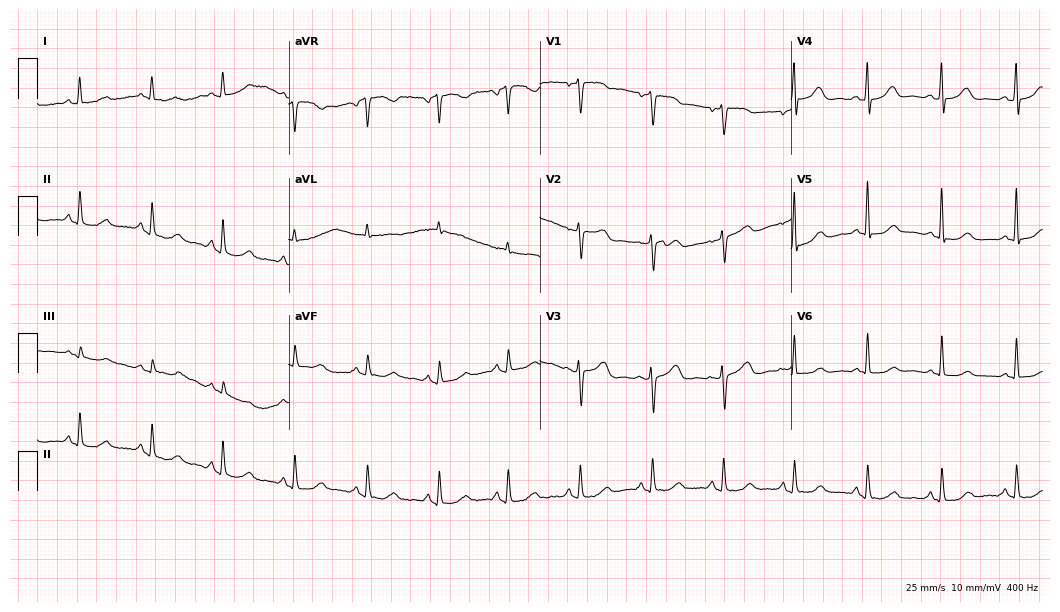
Resting 12-lead electrocardiogram (10.2-second recording at 400 Hz). Patient: a 61-year-old female. None of these six findings is recorded: first-degree AV block, right bundle branch block (RBBB), left bundle branch block (LBBB), sinus bradycardia, atrial fibrillation (AF), sinus tachycardia.